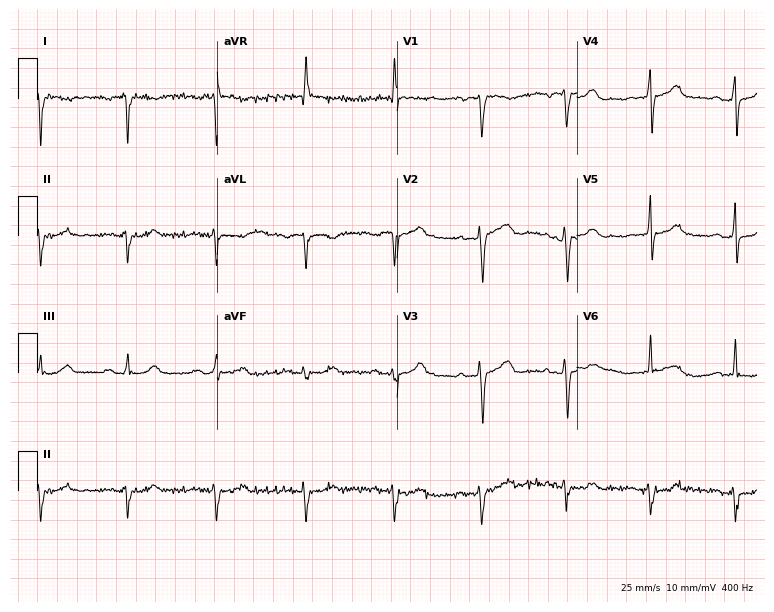
Resting 12-lead electrocardiogram. Patient: a 47-year-old female. None of these six findings is recorded: first-degree AV block, right bundle branch block (RBBB), left bundle branch block (LBBB), sinus bradycardia, atrial fibrillation (AF), sinus tachycardia.